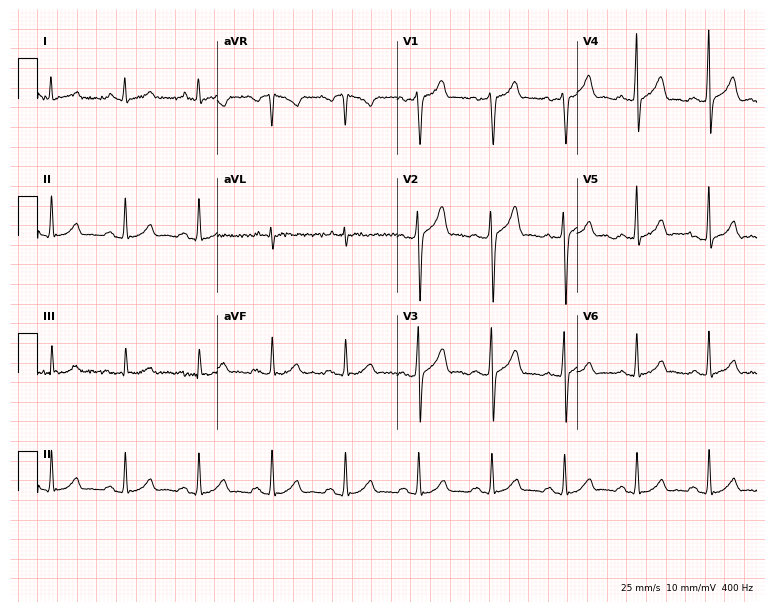
12-lead ECG from a 54-year-old male (7.3-second recording at 400 Hz). No first-degree AV block, right bundle branch block (RBBB), left bundle branch block (LBBB), sinus bradycardia, atrial fibrillation (AF) or sinus tachycardia recorded for this tracing. Other findings, if any, are not listed.